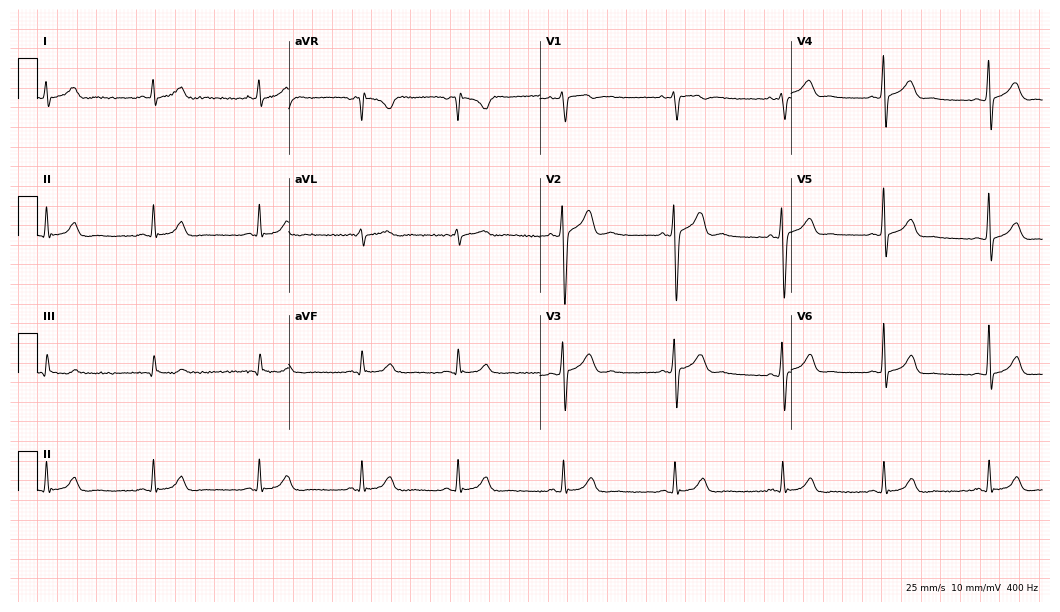
12-lead ECG from a male, 19 years old. Recorded interpretation: within normal limits.